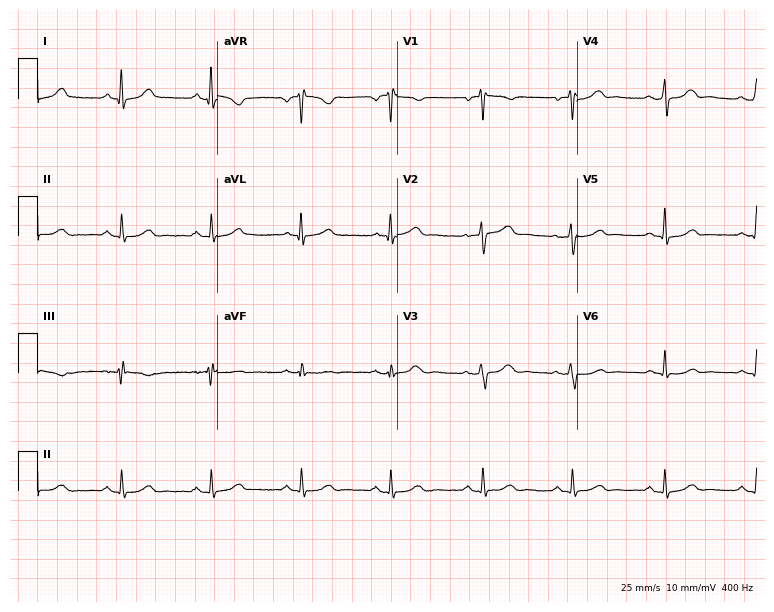
ECG (7.3-second recording at 400 Hz) — a man, 40 years old. Labelled as a normal ECG.